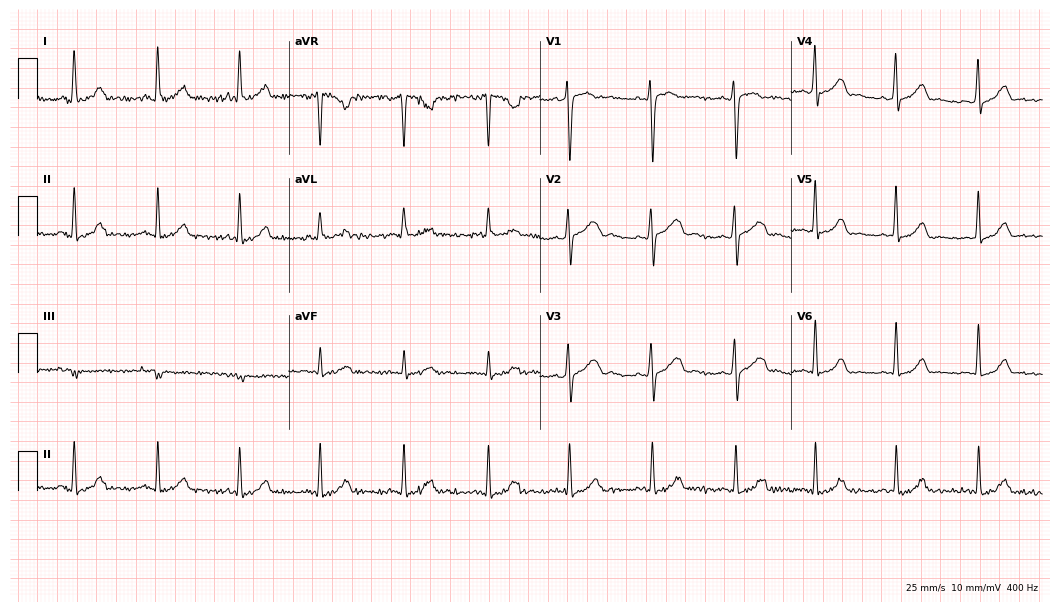
Resting 12-lead electrocardiogram (10.2-second recording at 400 Hz). Patient: a female, 36 years old. Read as a normal ECG.